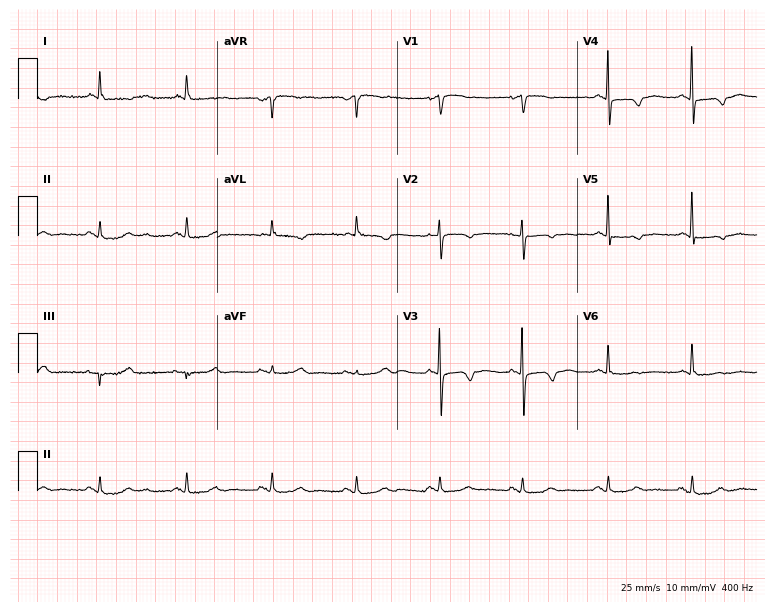
12-lead ECG from an 81-year-old woman. No first-degree AV block, right bundle branch block (RBBB), left bundle branch block (LBBB), sinus bradycardia, atrial fibrillation (AF) or sinus tachycardia recorded for this tracing.